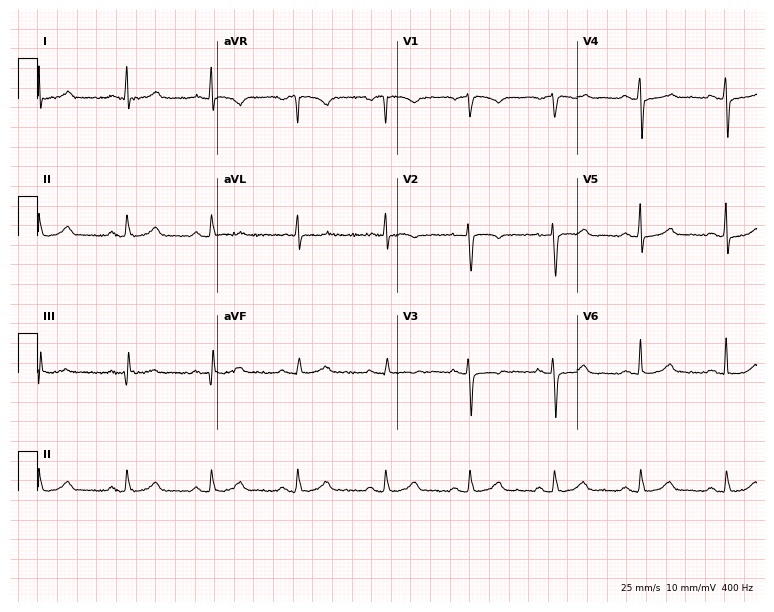
Standard 12-lead ECG recorded from a female, 63 years old. Read as a normal ECG.